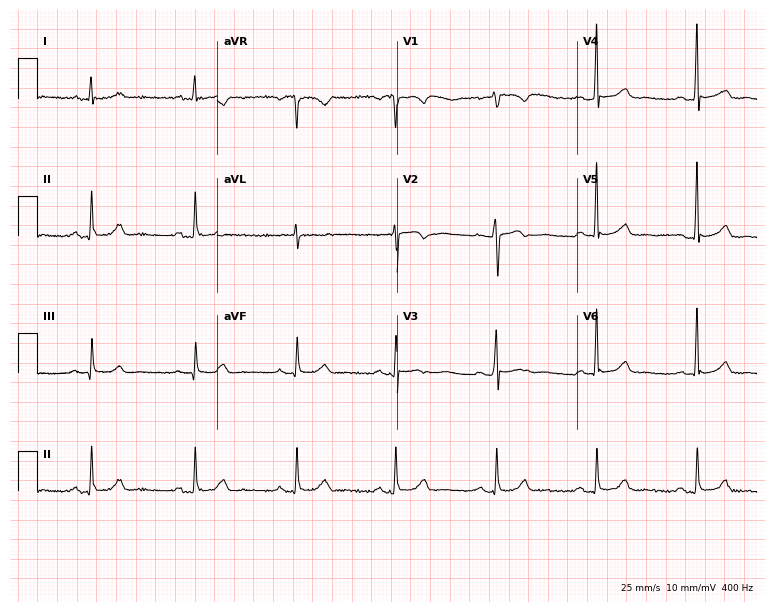
Standard 12-lead ECG recorded from a 59-year-old female patient. Read as a normal ECG.